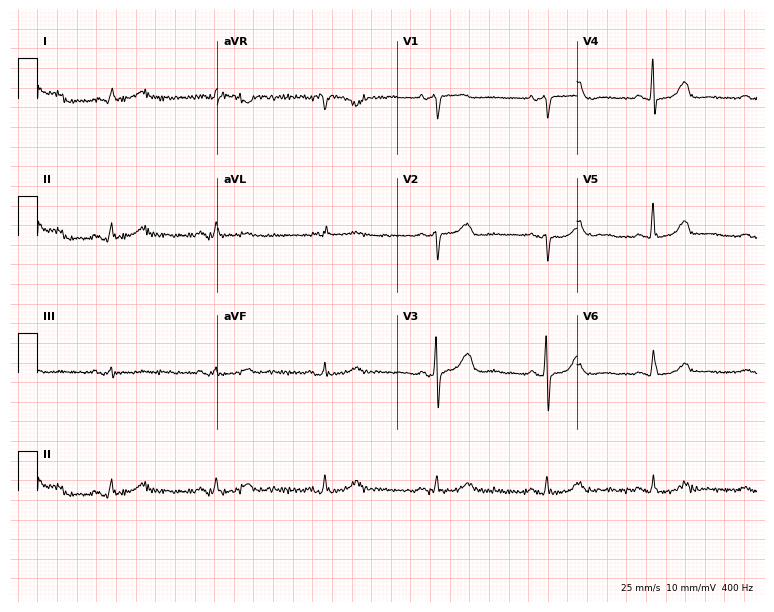
Electrocardiogram, a woman, 75 years old. Overall reading on record: normal ECG.